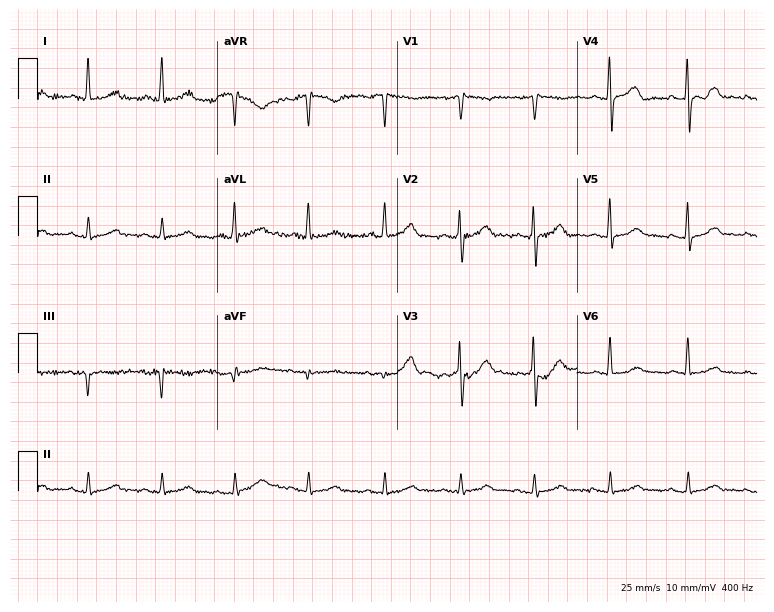
Electrocardiogram (7.3-second recording at 400 Hz), a female, 58 years old. Overall reading on record: normal ECG.